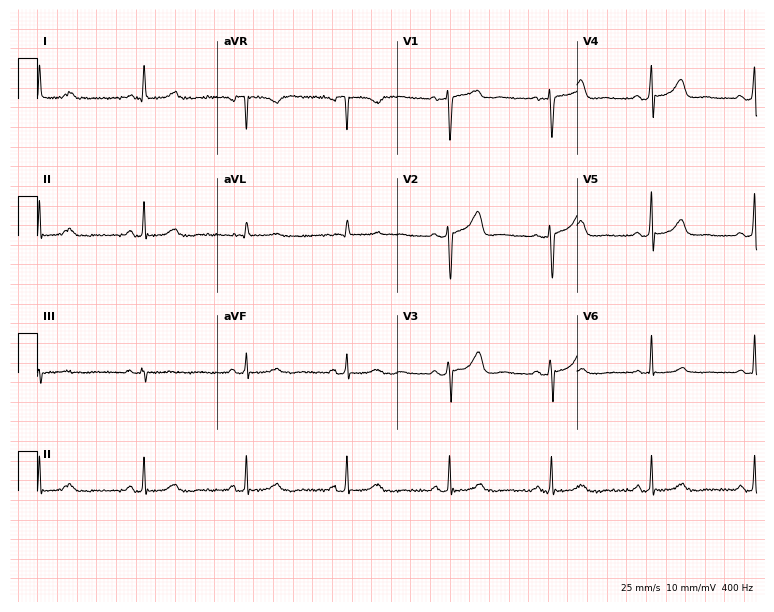
Resting 12-lead electrocardiogram (7.3-second recording at 400 Hz). Patient: a 55-year-old female. None of these six findings is recorded: first-degree AV block, right bundle branch block, left bundle branch block, sinus bradycardia, atrial fibrillation, sinus tachycardia.